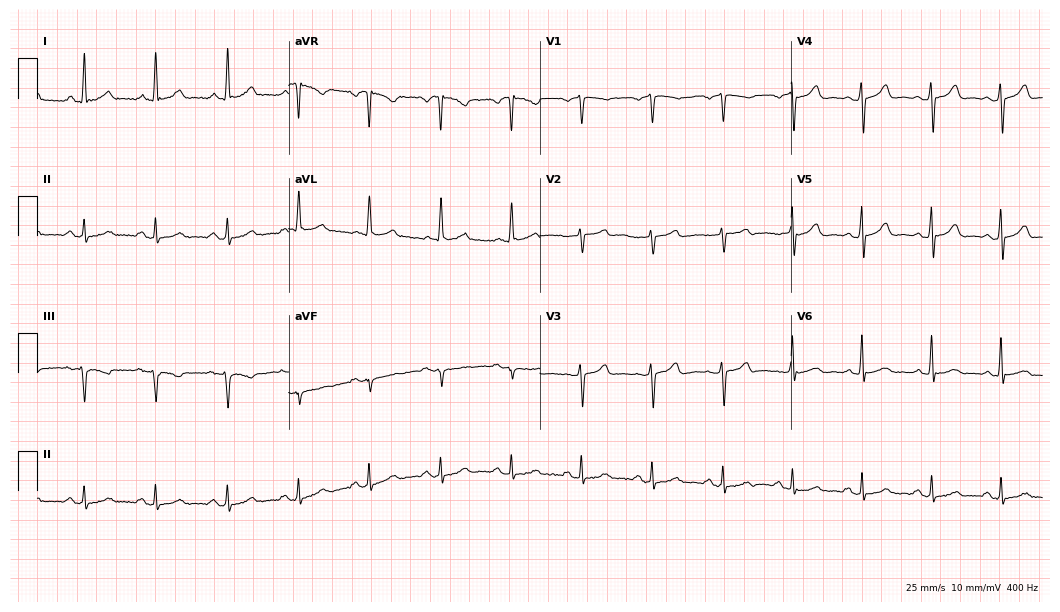
Resting 12-lead electrocardiogram (10.2-second recording at 400 Hz). Patient: a female, 48 years old. Read as a normal ECG.